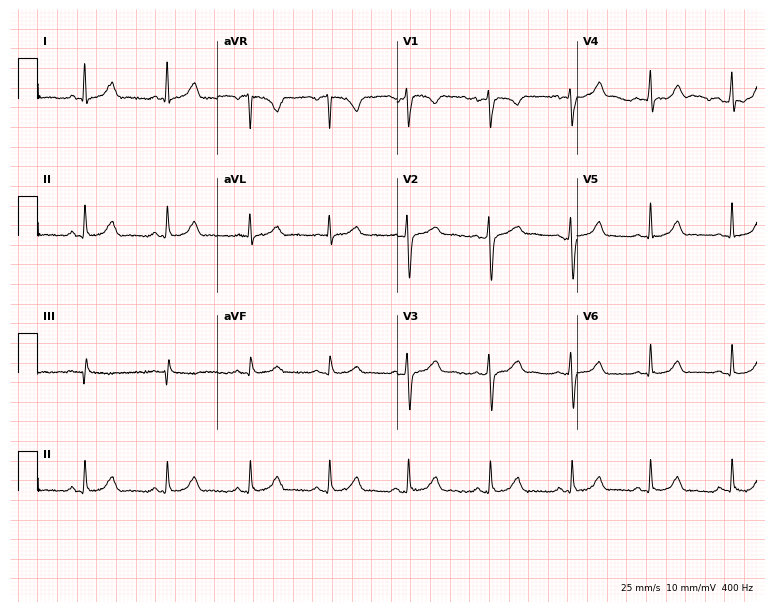
12-lead ECG (7.3-second recording at 400 Hz) from a female, 40 years old. Labelled as a normal ECG.